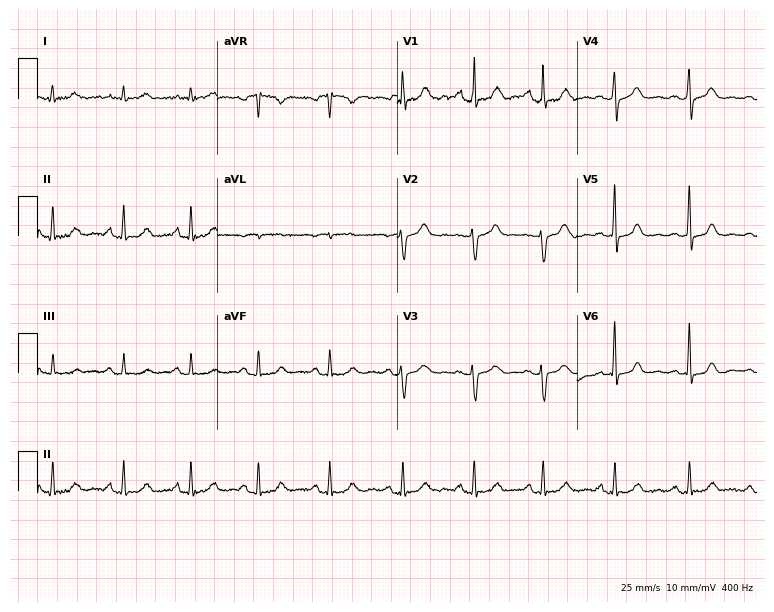
12-lead ECG (7.3-second recording at 400 Hz) from a 49-year-old woman. Labelled as a normal ECG.